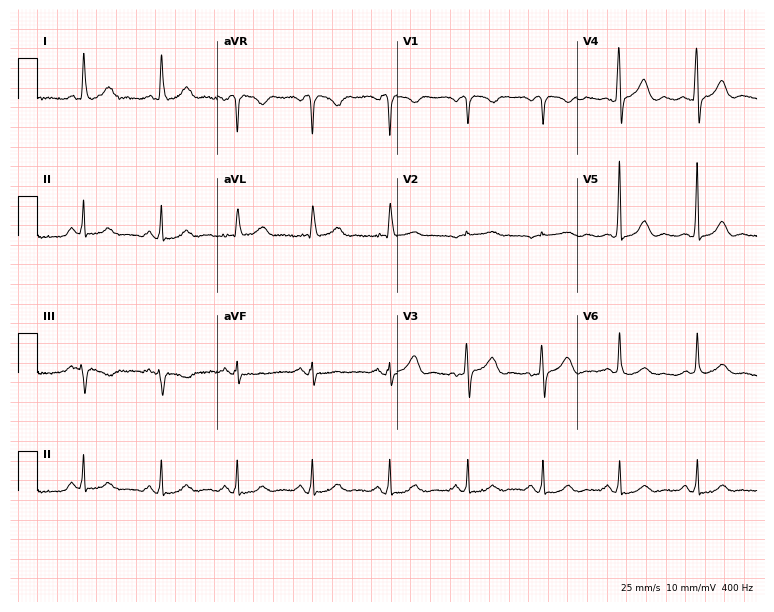
ECG — a 66-year-old female patient. Labelled as a normal ECG.